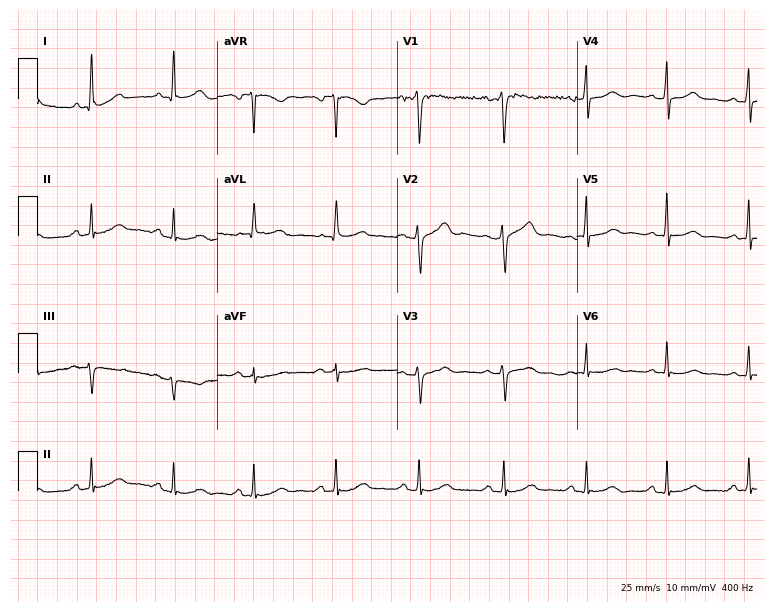
ECG — a 53-year-old female patient. Screened for six findings — first-degree AV block, right bundle branch block (RBBB), left bundle branch block (LBBB), sinus bradycardia, atrial fibrillation (AF), sinus tachycardia — none is recorded. Only these six findings were labelled.